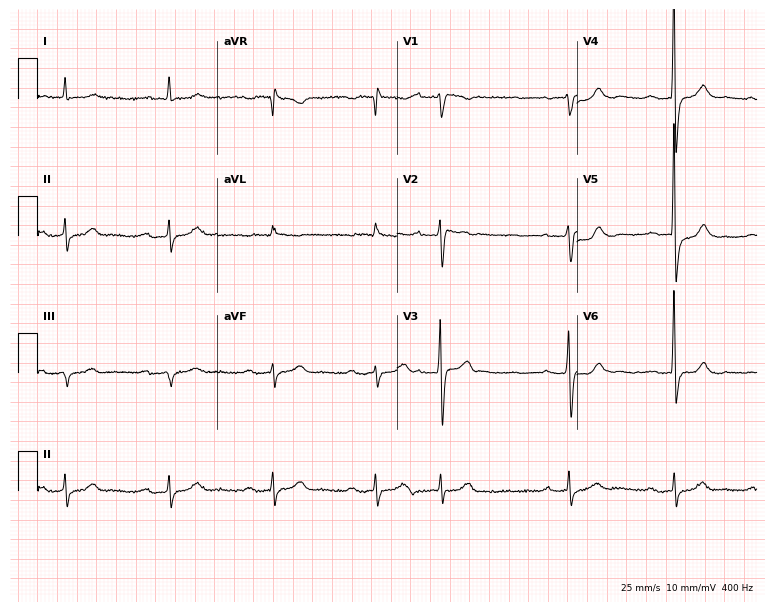
ECG — an 87-year-old man. Findings include first-degree AV block.